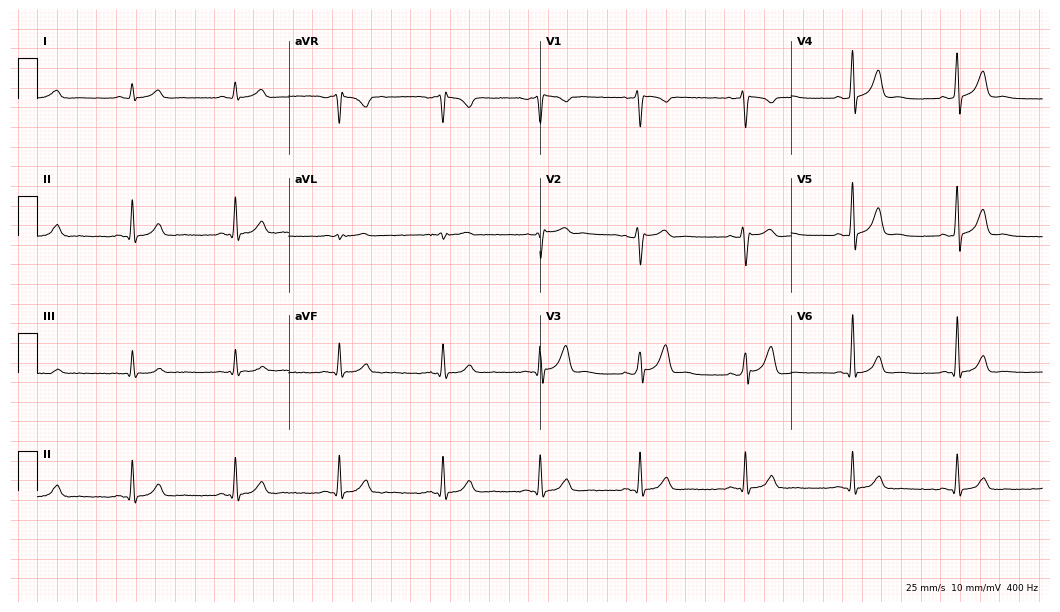
ECG — a male, 32 years old. Labelled as a normal ECG.